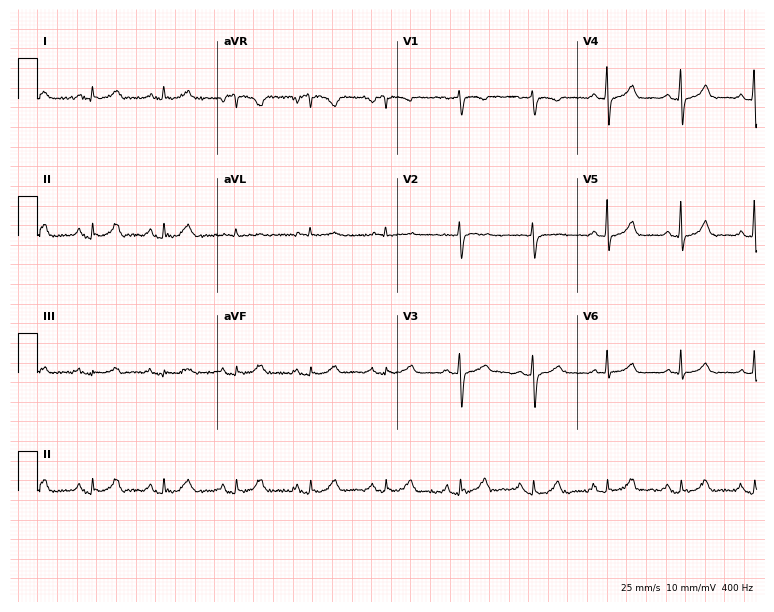
12-lead ECG (7.3-second recording at 400 Hz) from a 79-year-old man. Screened for six findings — first-degree AV block, right bundle branch block, left bundle branch block, sinus bradycardia, atrial fibrillation, sinus tachycardia — none is recorded.